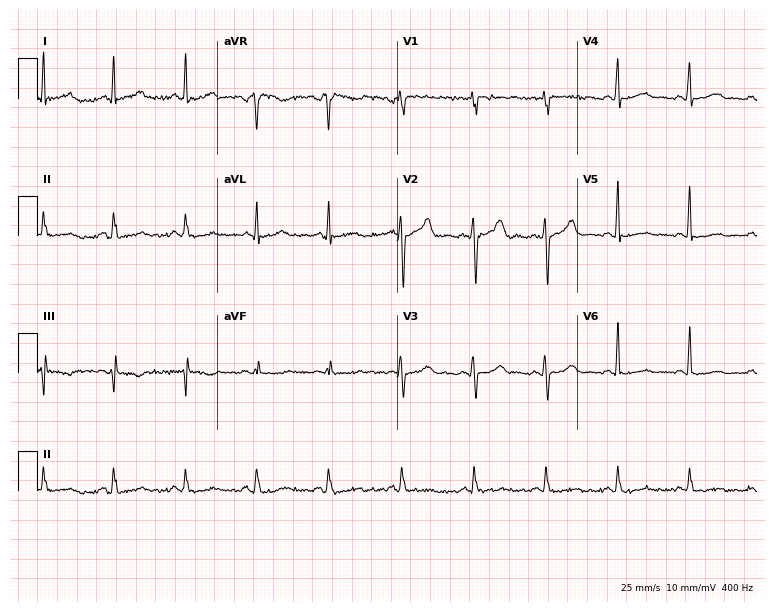
ECG — a 46-year-old woman. Screened for six findings — first-degree AV block, right bundle branch block, left bundle branch block, sinus bradycardia, atrial fibrillation, sinus tachycardia — none is recorded. Only these six findings were labelled.